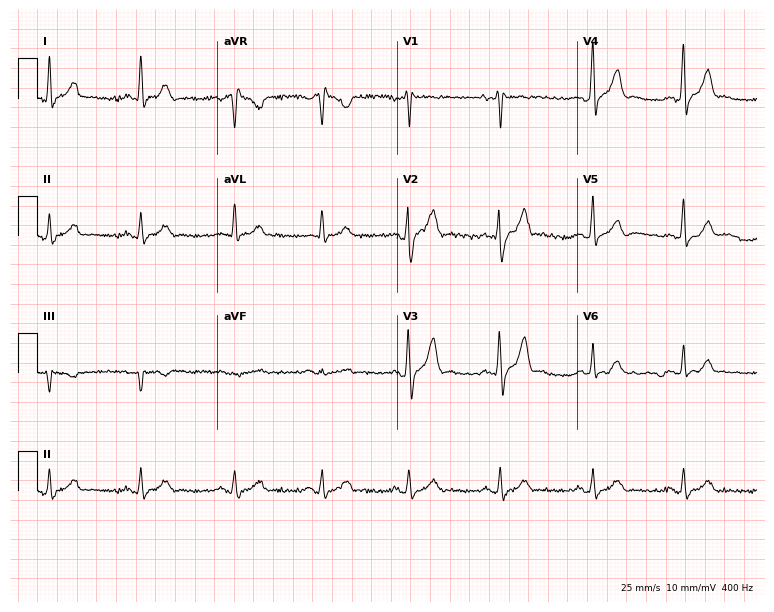
Resting 12-lead electrocardiogram (7.3-second recording at 400 Hz). Patient: a 36-year-old male. None of these six findings is recorded: first-degree AV block, right bundle branch block, left bundle branch block, sinus bradycardia, atrial fibrillation, sinus tachycardia. Other findings, if any, are not listed.